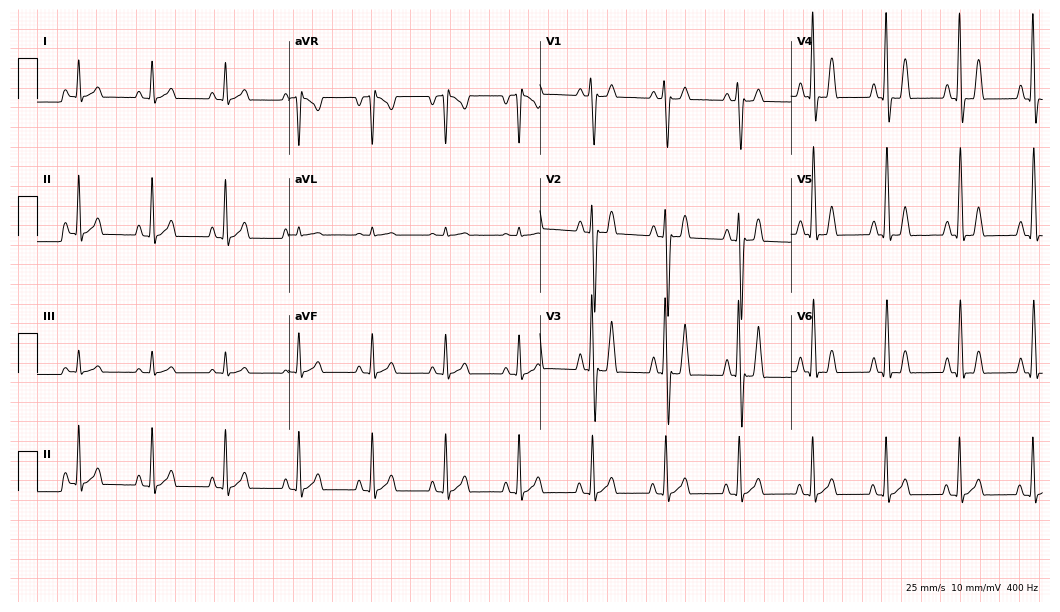
12-lead ECG from a man, 34 years old (10.2-second recording at 400 Hz). No first-degree AV block, right bundle branch block, left bundle branch block, sinus bradycardia, atrial fibrillation or sinus tachycardia recorded for this tracing. Only these six findings were labelled.